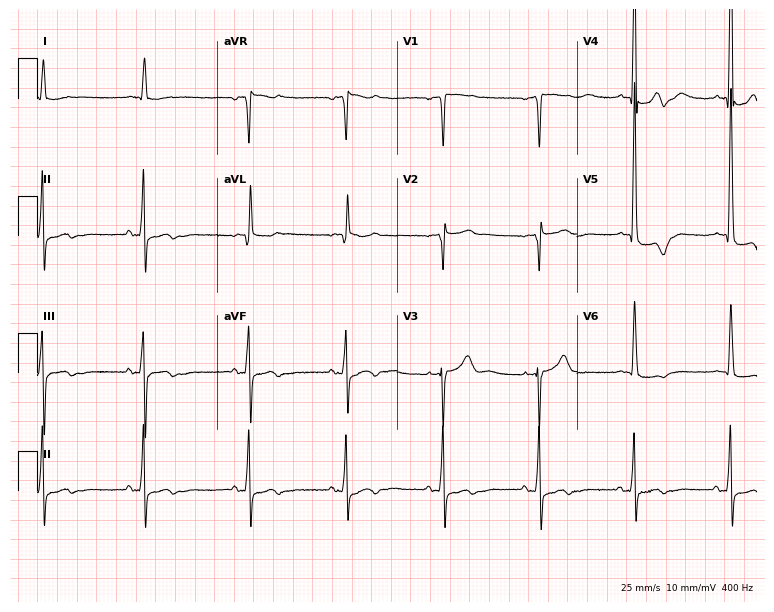
12-lead ECG from an 81-year-old woman. No first-degree AV block, right bundle branch block (RBBB), left bundle branch block (LBBB), sinus bradycardia, atrial fibrillation (AF) or sinus tachycardia recorded for this tracing. Only these six findings were labelled.